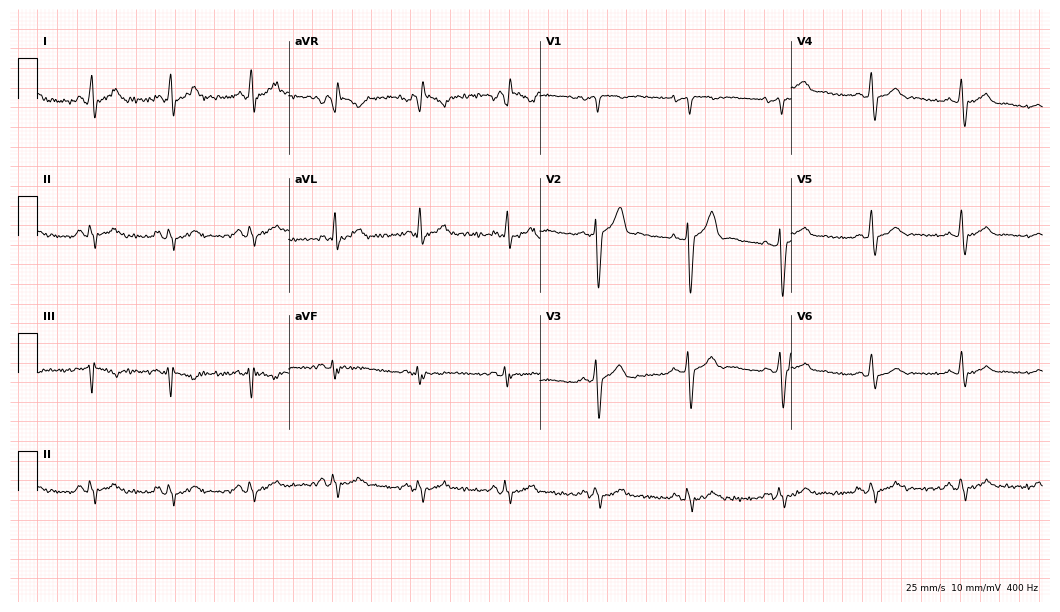
Electrocardiogram (10.2-second recording at 400 Hz), a 38-year-old male. Of the six screened findings (first-degree AV block, right bundle branch block, left bundle branch block, sinus bradycardia, atrial fibrillation, sinus tachycardia), none is recorded.